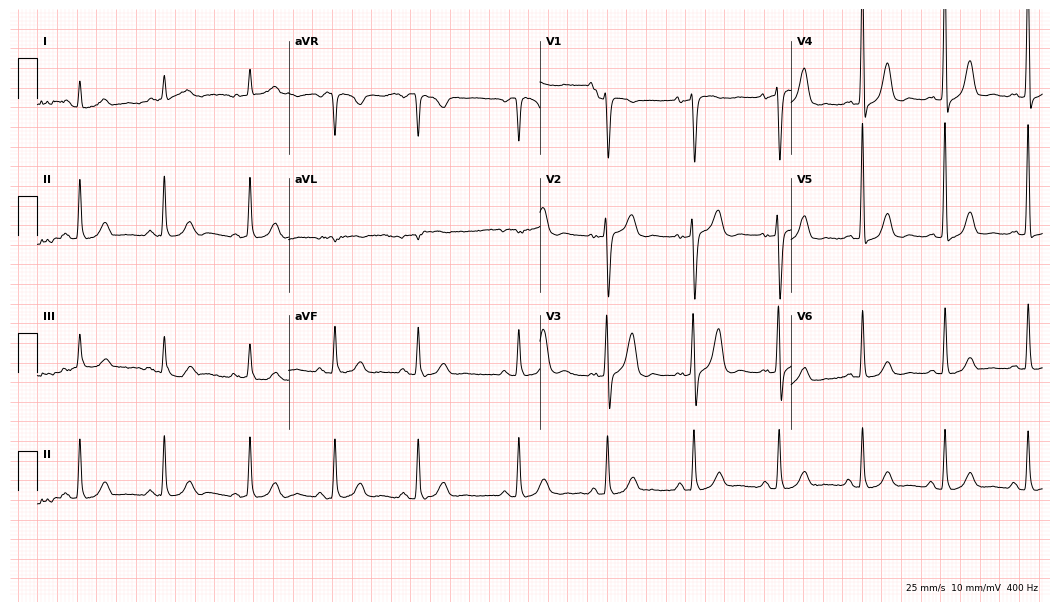
Electrocardiogram (10.2-second recording at 400 Hz), a 75-year-old woman. Overall reading on record: normal ECG.